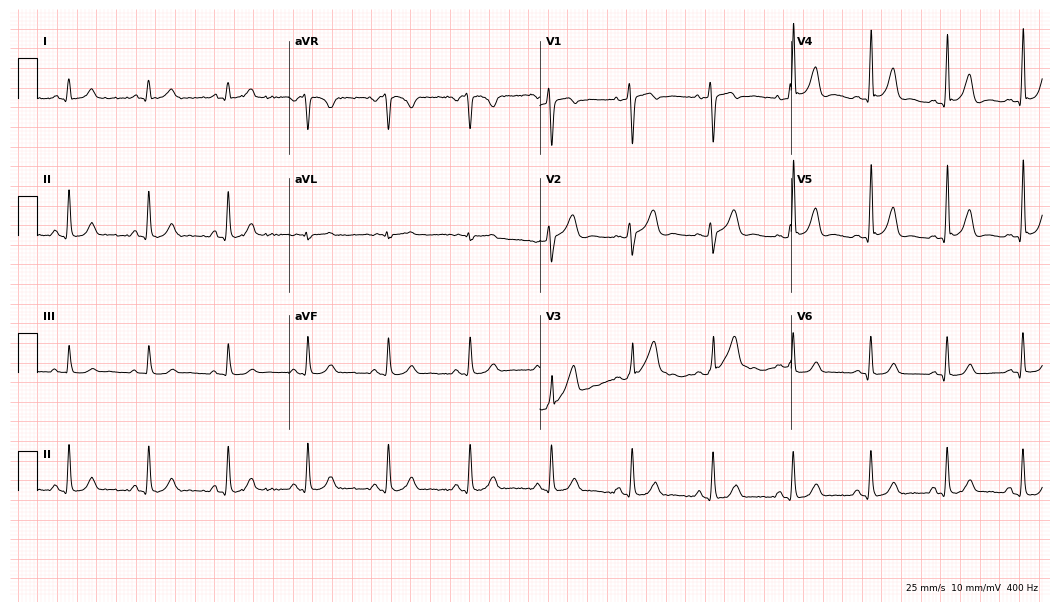
Standard 12-lead ECG recorded from a 34-year-old man. Read as a normal ECG.